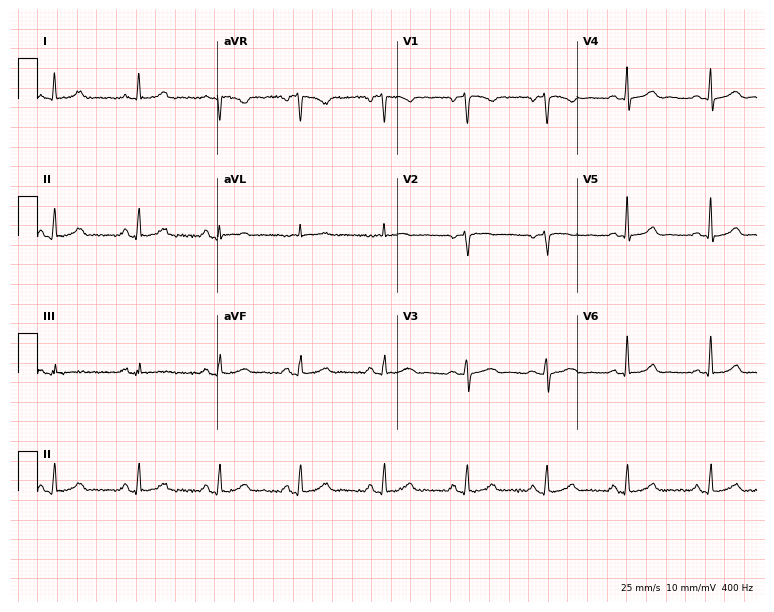
12-lead ECG from a 39-year-old female. Recorded interpretation: within normal limits.